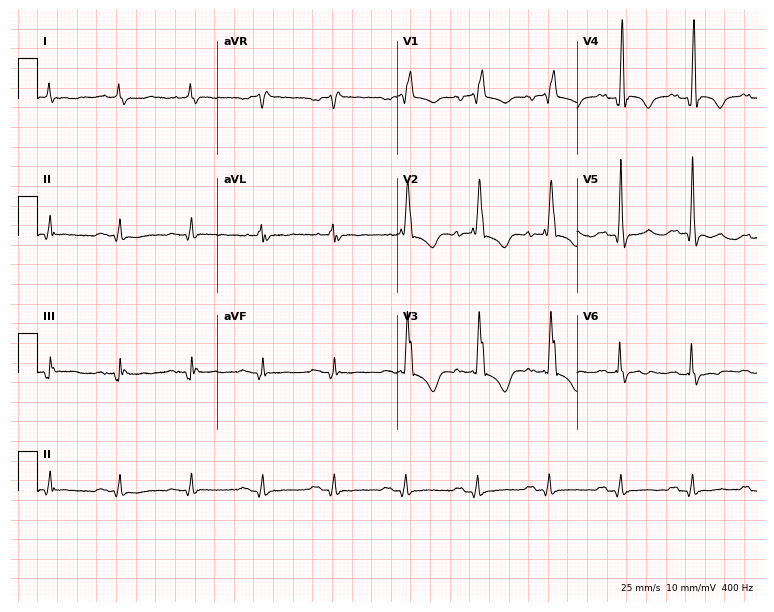
12-lead ECG from a male, 84 years old. Findings include right bundle branch block.